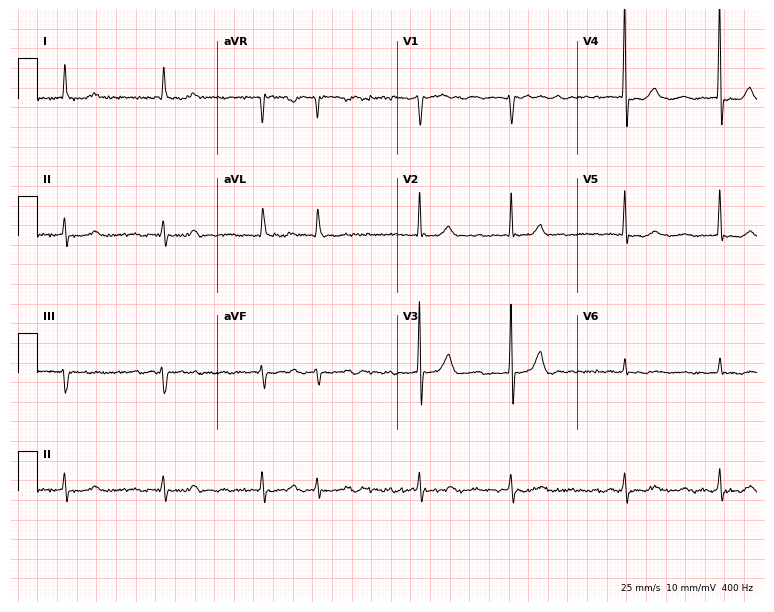
Resting 12-lead electrocardiogram. Patient: an 84-year-old man. The tracing shows atrial fibrillation.